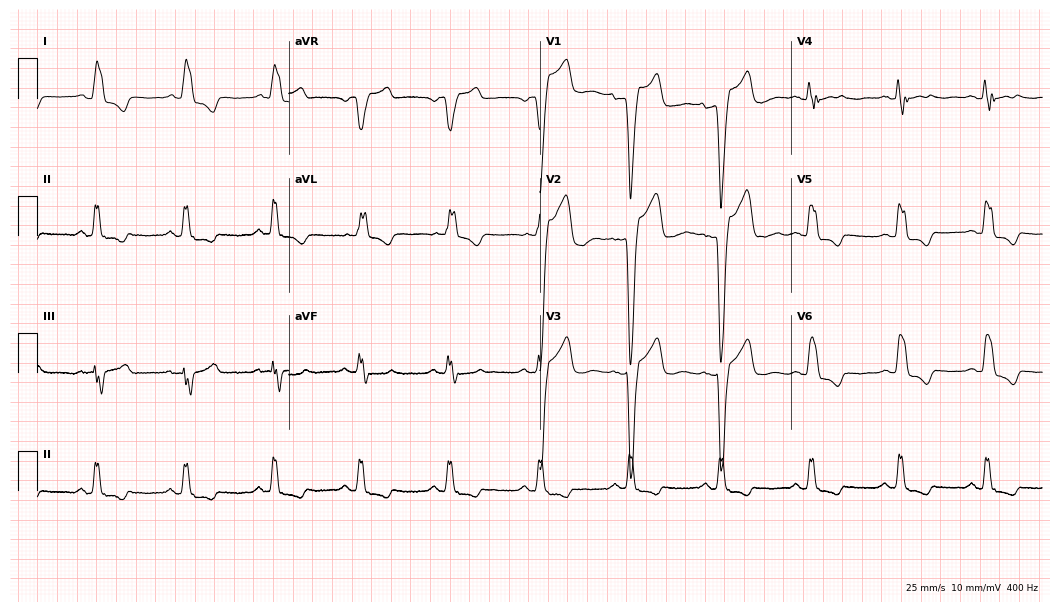
12-lead ECG from a woman, 71 years old (10.2-second recording at 400 Hz). No first-degree AV block, right bundle branch block, left bundle branch block, sinus bradycardia, atrial fibrillation or sinus tachycardia recorded for this tracing. Findings outside these six are not listed.